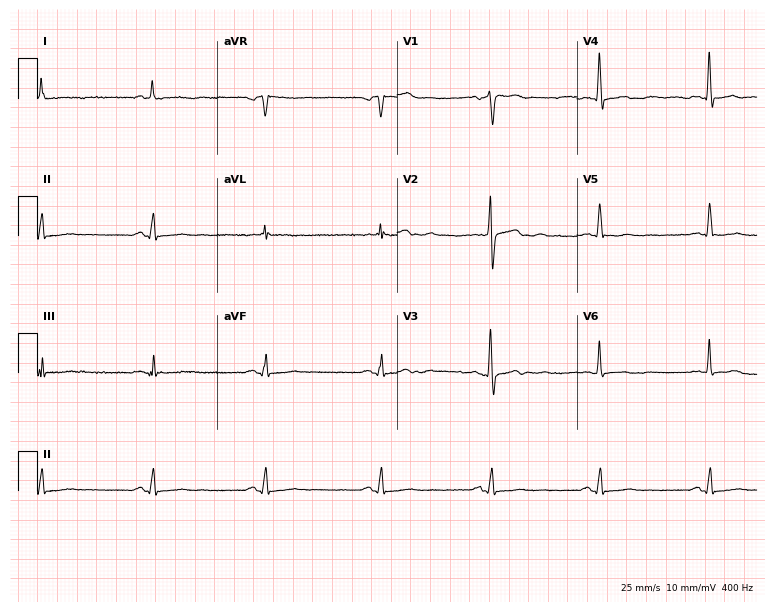
ECG (7.3-second recording at 400 Hz) — a 52-year-old man. Screened for six findings — first-degree AV block, right bundle branch block, left bundle branch block, sinus bradycardia, atrial fibrillation, sinus tachycardia — none is recorded. Other findings, if any, are not listed.